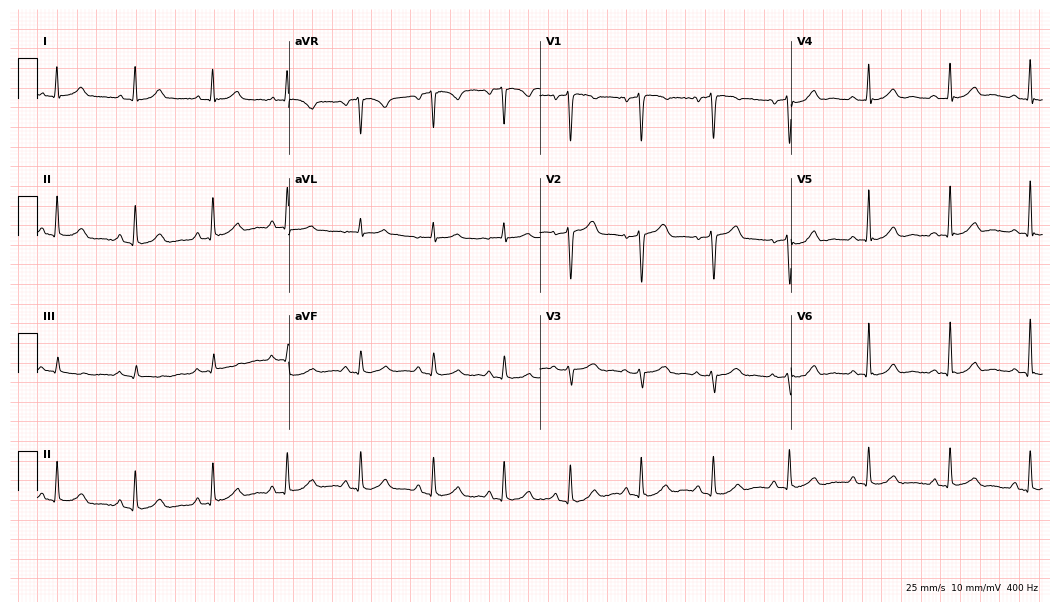
ECG (10.2-second recording at 400 Hz) — a female, 49 years old. Screened for six findings — first-degree AV block, right bundle branch block, left bundle branch block, sinus bradycardia, atrial fibrillation, sinus tachycardia — none is recorded.